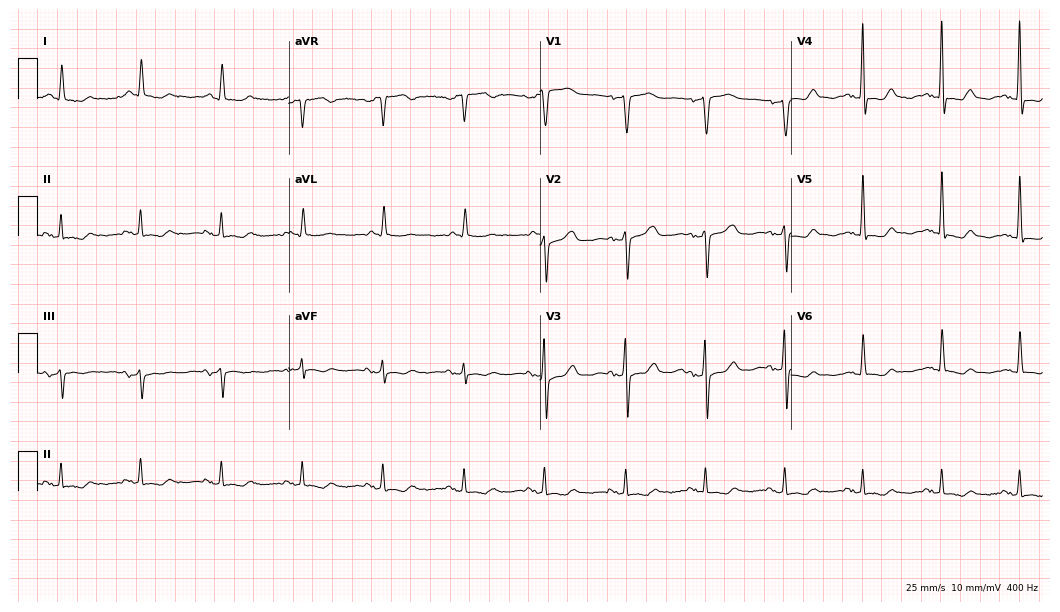
12-lead ECG from a female patient, 78 years old. No first-degree AV block, right bundle branch block, left bundle branch block, sinus bradycardia, atrial fibrillation or sinus tachycardia recorded for this tracing. Findings outside these six are not listed.